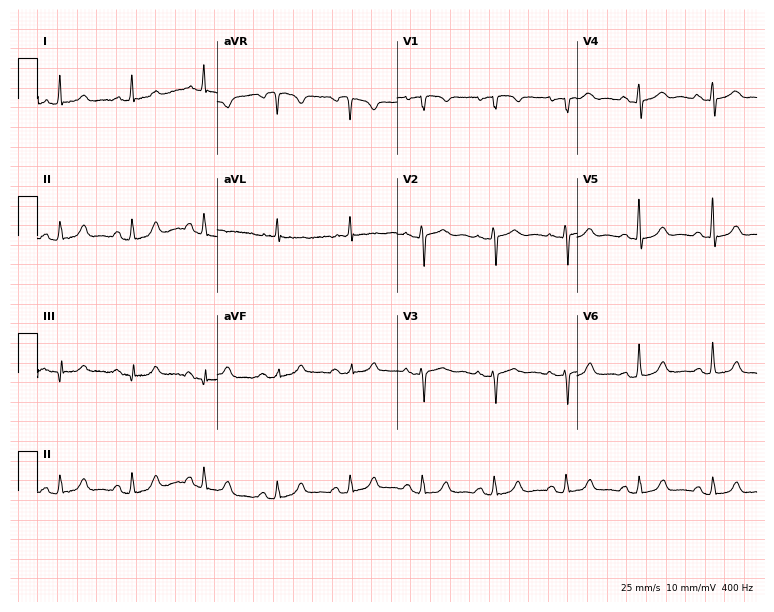
12-lead ECG from a 68-year-old female. Recorded interpretation: within normal limits.